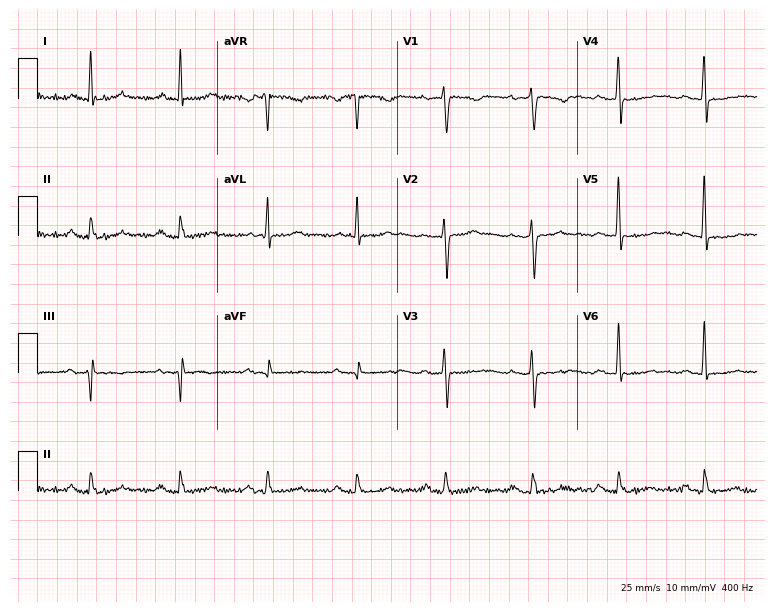
Electrocardiogram, a female patient, 55 years old. Of the six screened findings (first-degree AV block, right bundle branch block (RBBB), left bundle branch block (LBBB), sinus bradycardia, atrial fibrillation (AF), sinus tachycardia), none is recorded.